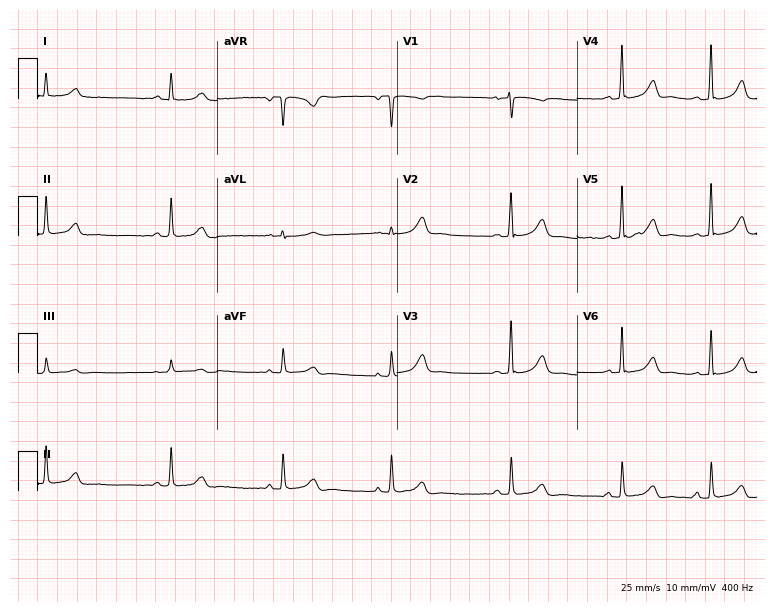
Standard 12-lead ECG recorded from a 17-year-old female (7.3-second recording at 400 Hz). None of these six findings is recorded: first-degree AV block, right bundle branch block, left bundle branch block, sinus bradycardia, atrial fibrillation, sinus tachycardia. Other findings, if any, are not listed.